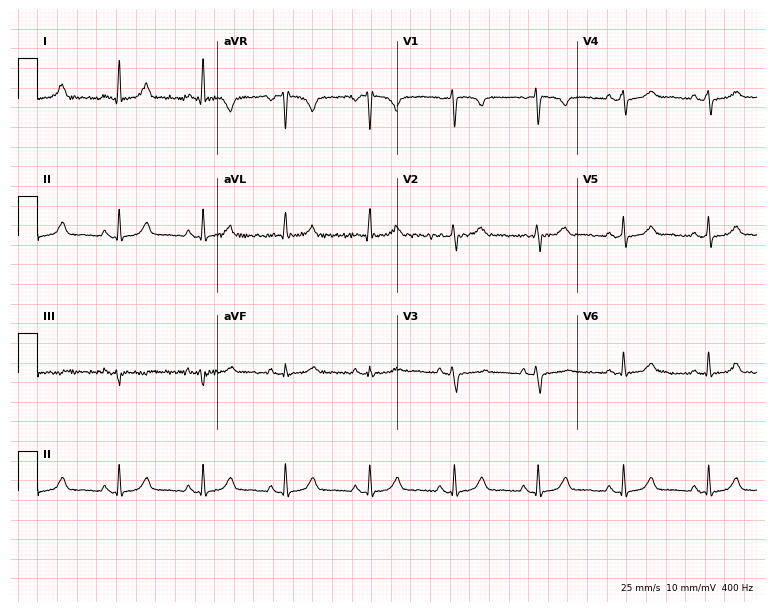
12-lead ECG from a 56-year-old female. Recorded interpretation: within normal limits.